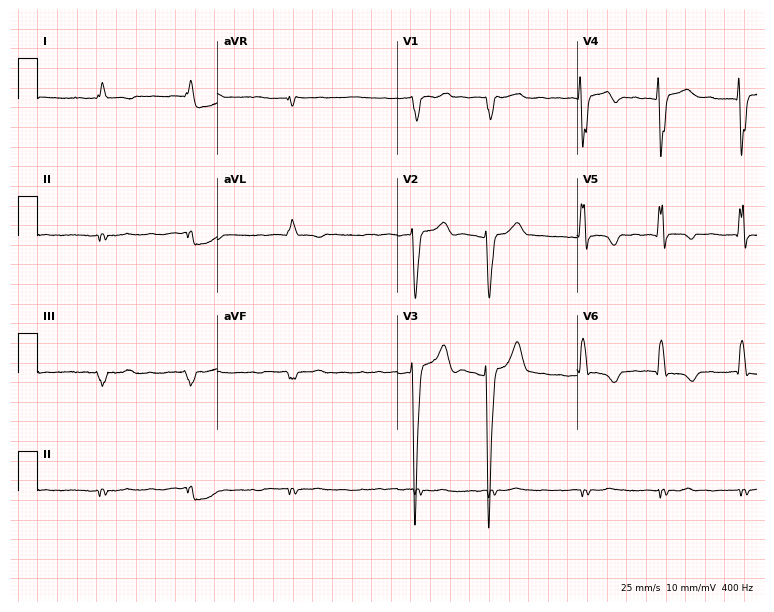
ECG — an 84-year-old male. Findings include left bundle branch block, atrial fibrillation.